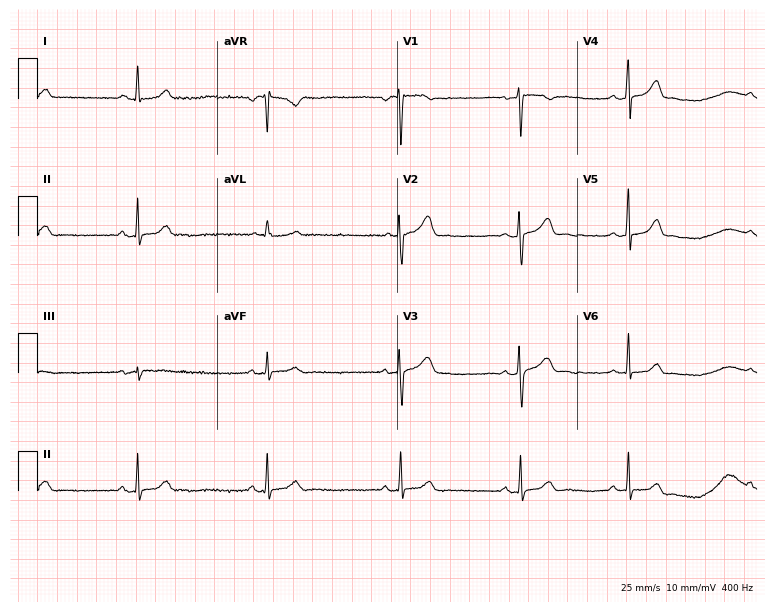
Standard 12-lead ECG recorded from a 25-year-old female patient (7.3-second recording at 400 Hz). The tracing shows sinus bradycardia (a sinus rate of 50 beats per minute or less).